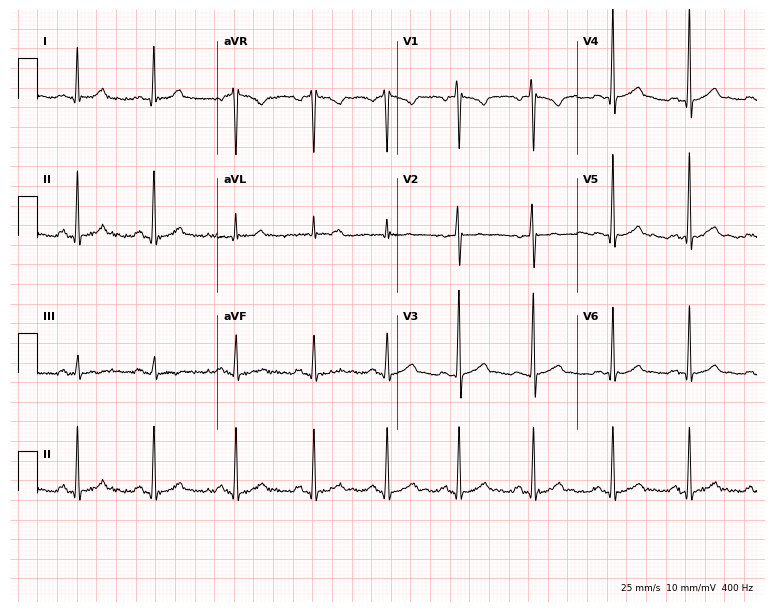
ECG — an 18-year-old female. Labelled as a normal ECG.